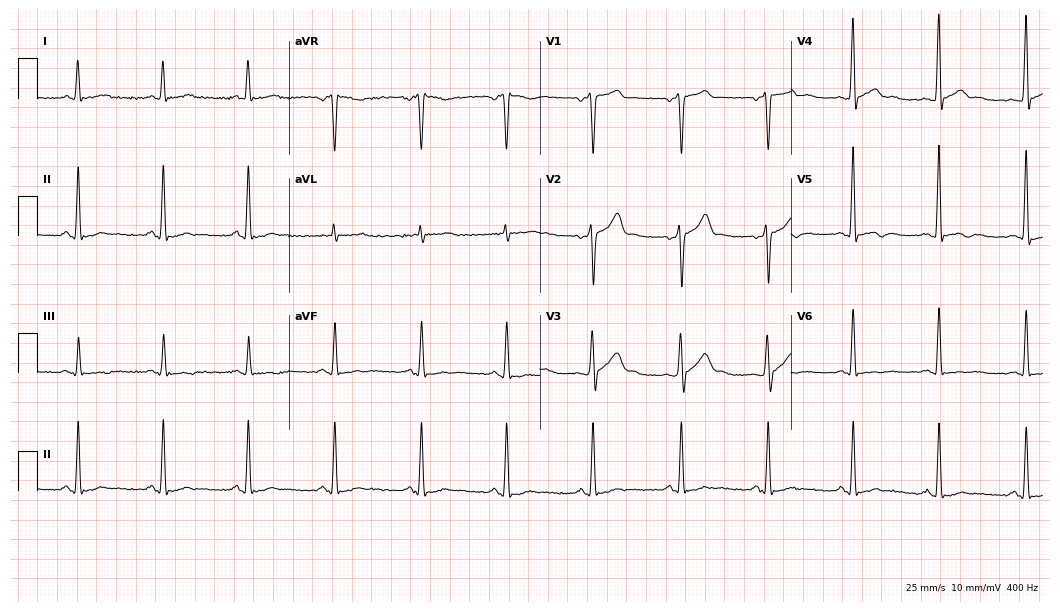
Electrocardiogram (10.2-second recording at 400 Hz), a male, 40 years old. Of the six screened findings (first-degree AV block, right bundle branch block (RBBB), left bundle branch block (LBBB), sinus bradycardia, atrial fibrillation (AF), sinus tachycardia), none is recorded. Only these six findings were labelled.